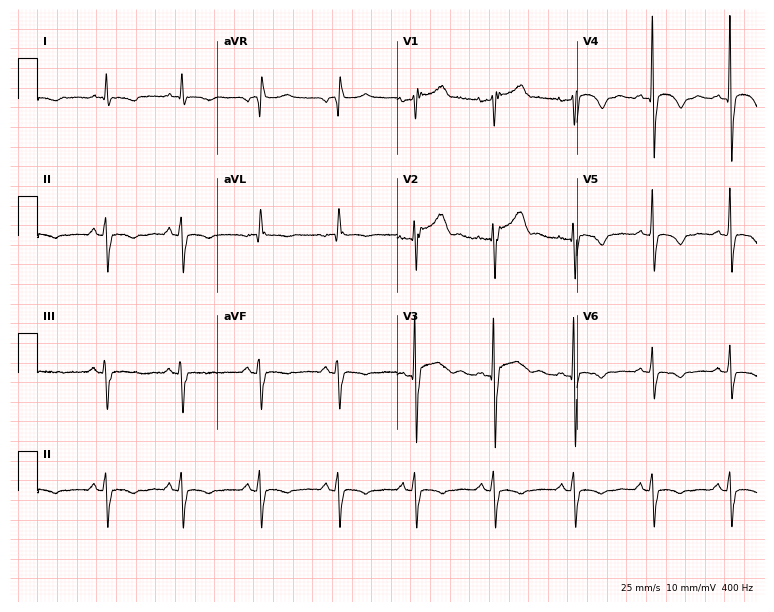
Resting 12-lead electrocardiogram (7.3-second recording at 400 Hz). Patient: a 64-year-old man. None of these six findings is recorded: first-degree AV block, right bundle branch block, left bundle branch block, sinus bradycardia, atrial fibrillation, sinus tachycardia.